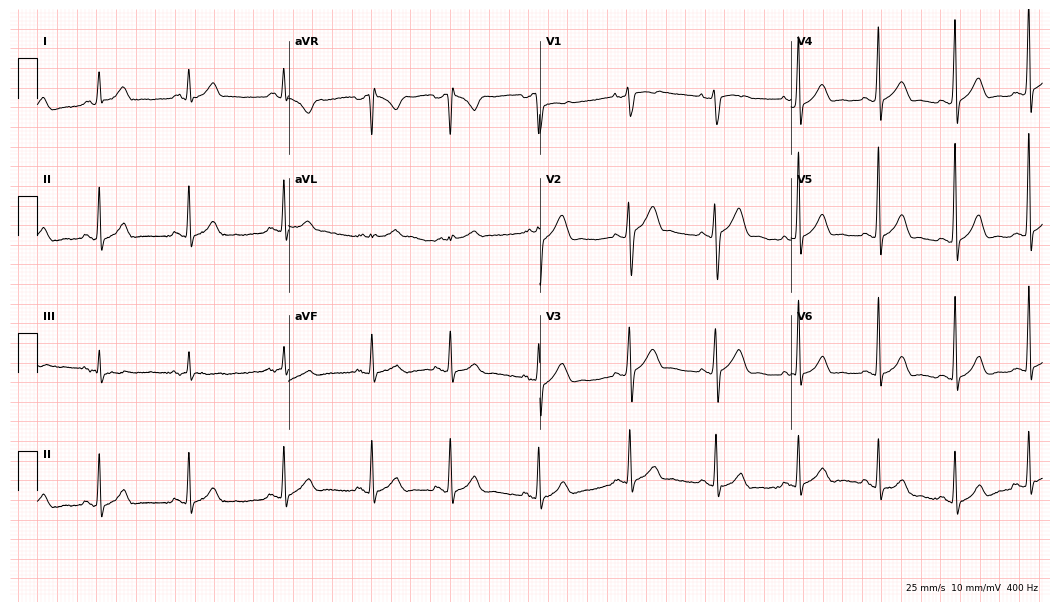
Resting 12-lead electrocardiogram (10.2-second recording at 400 Hz). Patient: a male, 27 years old. Read as a normal ECG.